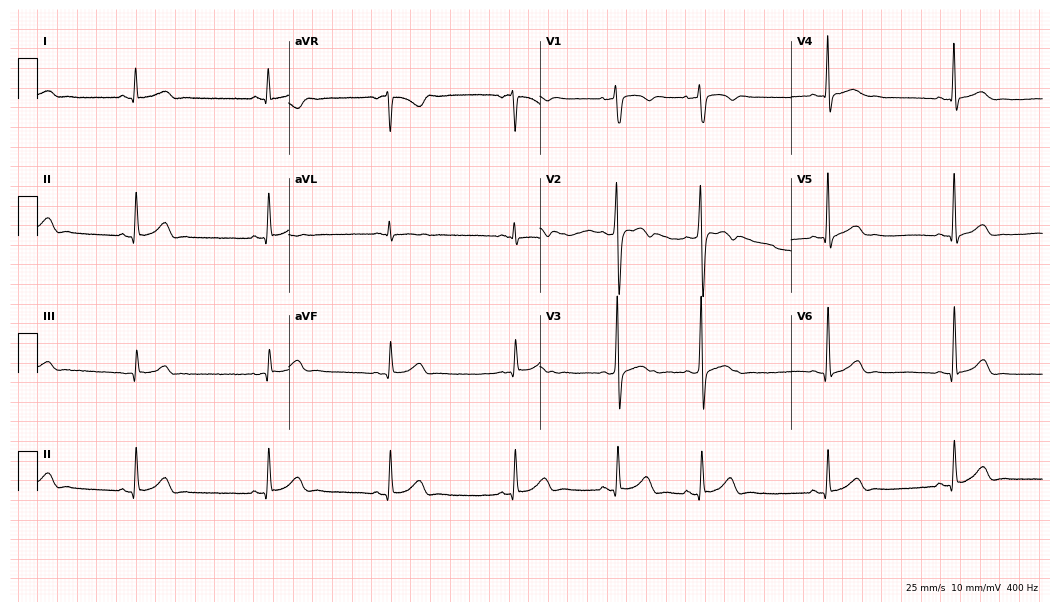
Standard 12-lead ECG recorded from a male patient, 21 years old (10.2-second recording at 400 Hz). None of these six findings is recorded: first-degree AV block, right bundle branch block, left bundle branch block, sinus bradycardia, atrial fibrillation, sinus tachycardia. Other findings, if any, are not listed.